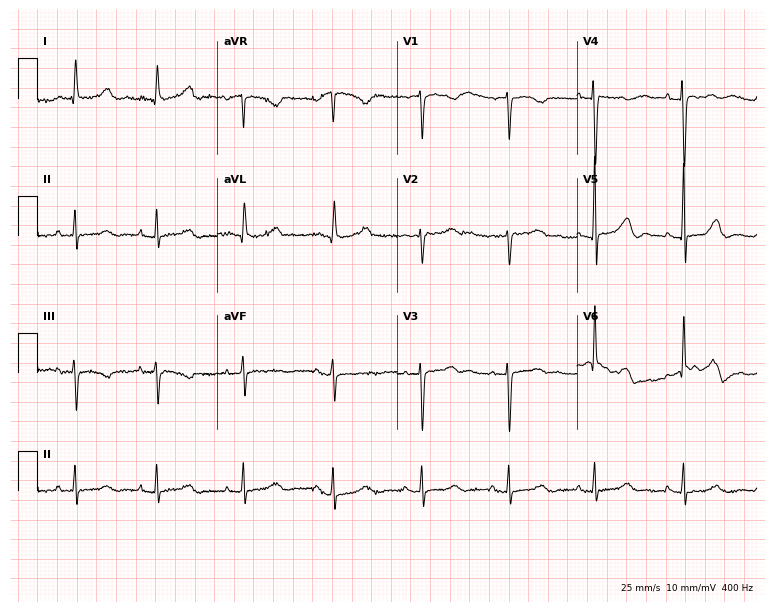
Electrocardiogram, a 70-year-old female. Of the six screened findings (first-degree AV block, right bundle branch block, left bundle branch block, sinus bradycardia, atrial fibrillation, sinus tachycardia), none is recorded. Only these six findings were labelled.